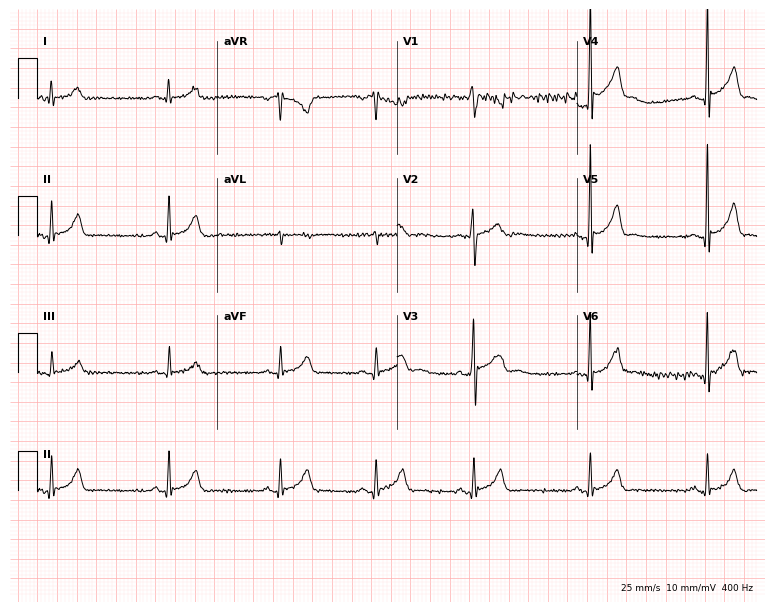
Resting 12-lead electrocardiogram. Patient: a 19-year-old male. Read as a normal ECG.